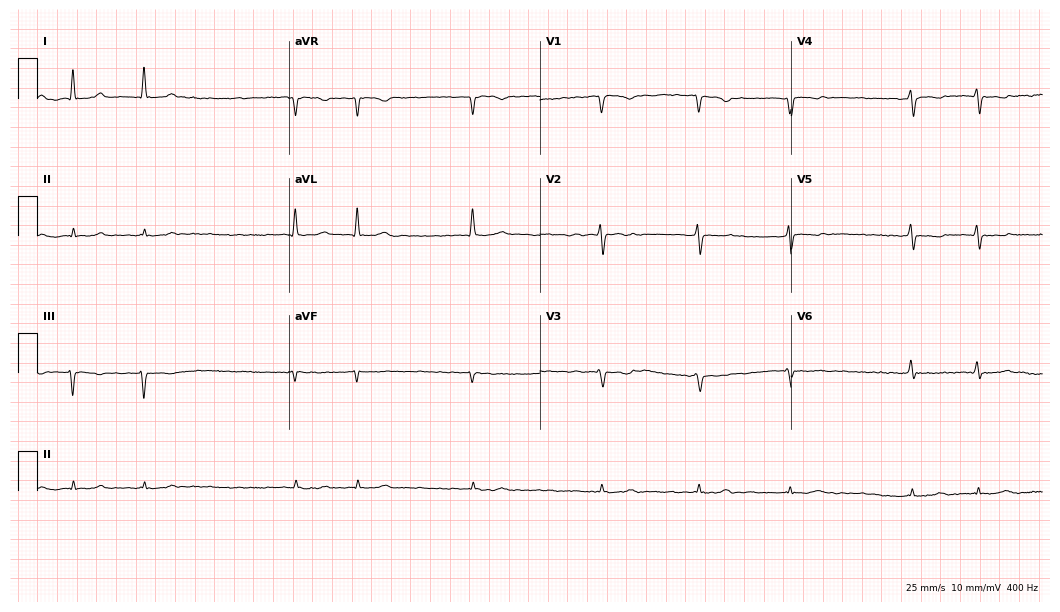
ECG (10.2-second recording at 400 Hz) — a 64-year-old male patient. Findings include atrial fibrillation.